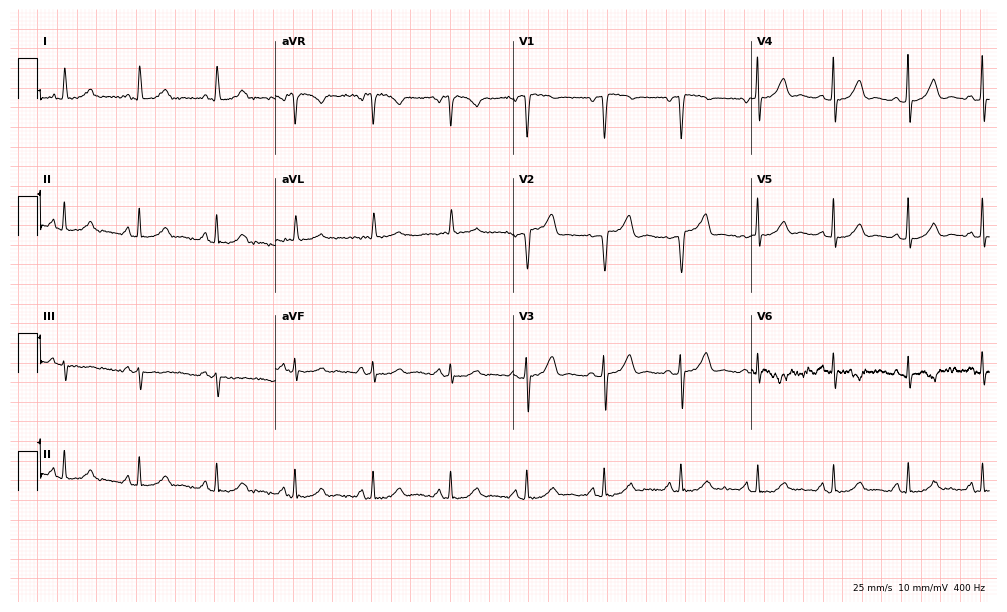
Standard 12-lead ECG recorded from a female, 60 years old (9.7-second recording at 400 Hz). Read as a normal ECG.